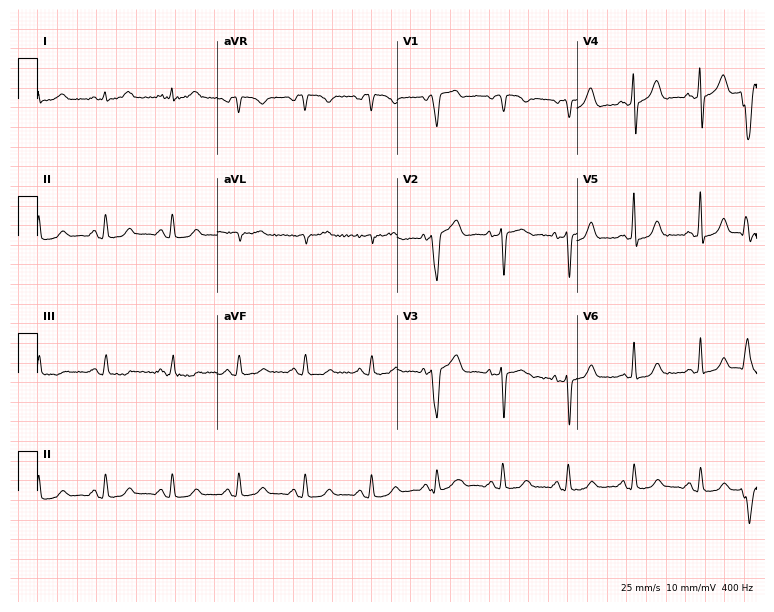
Resting 12-lead electrocardiogram (7.3-second recording at 400 Hz). Patient: a male, 80 years old. None of these six findings is recorded: first-degree AV block, right bundle branch block, left bundle branch block, sinus bradycardia, atrial fibrillation, sinus tachycardia.